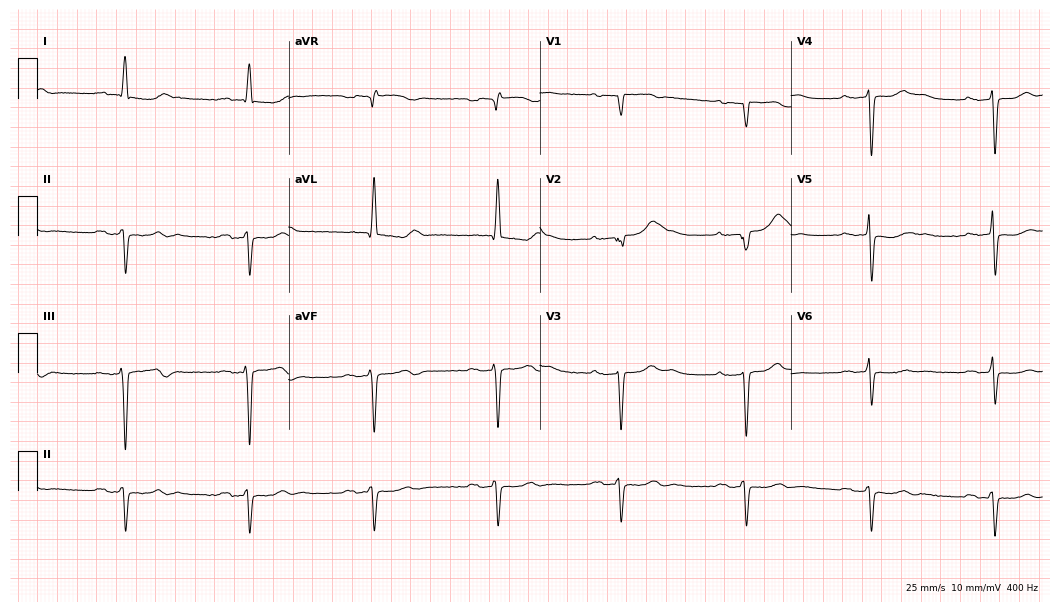
12-lead ECG (10.2-second recording at 400 Hz) from a 76-year-old man. Findings include first-degree AV block, sinus bradycardia (a sinus rate of 50 beats per minute or less).